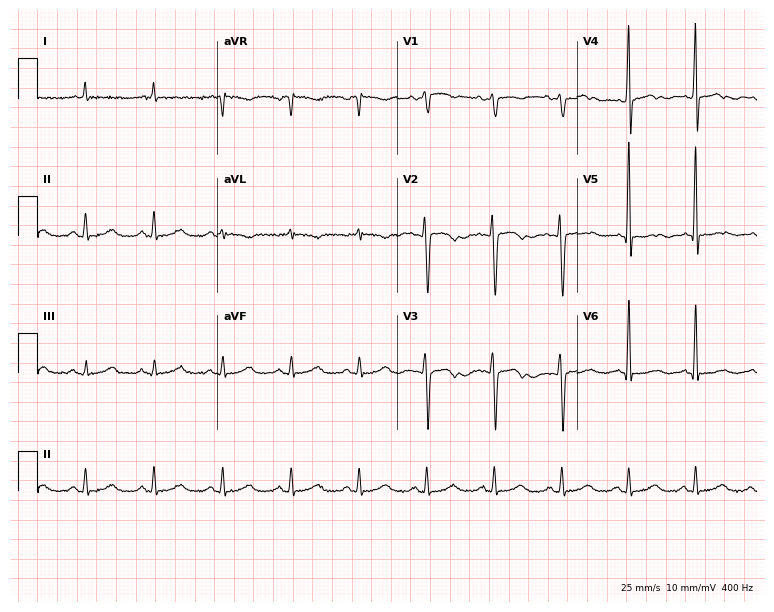
12-lead ECG (7.3-second recording at 400 Hz) from a woman, 47 years old. Screened for six findings — first-degree AV block, right bundle branch block, left bundle branch block, sinus bradycardia, atrial fibrillation, sinus tachycardia — none is recorded.